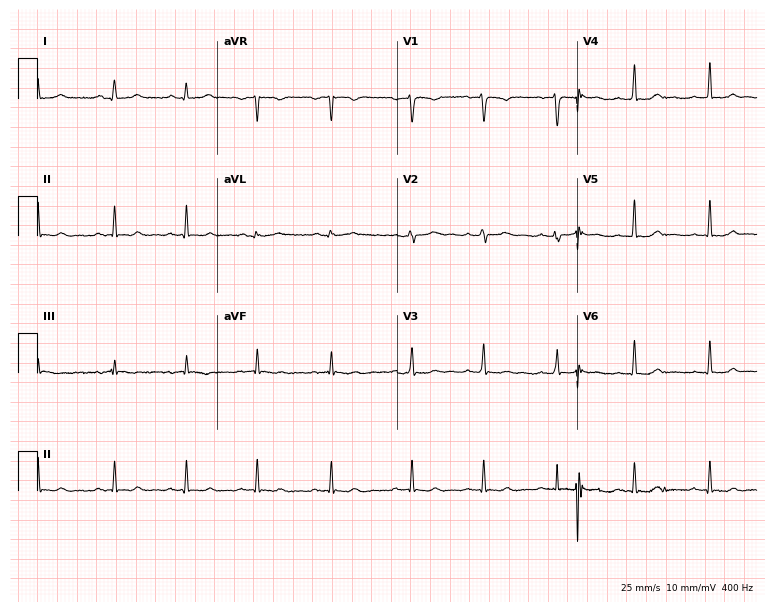
ECG (7.3-second recording at 400 Hz) — a female patient, 26 years old. Screened for six findings — first-degree AV block, right bundle branch block (RBBB), left bundle branch block (LBBB), sinus bradycardia, atrial fibrillation (AF), sinus tachycardia — none is recorded. Other findings, if any, are not listed.